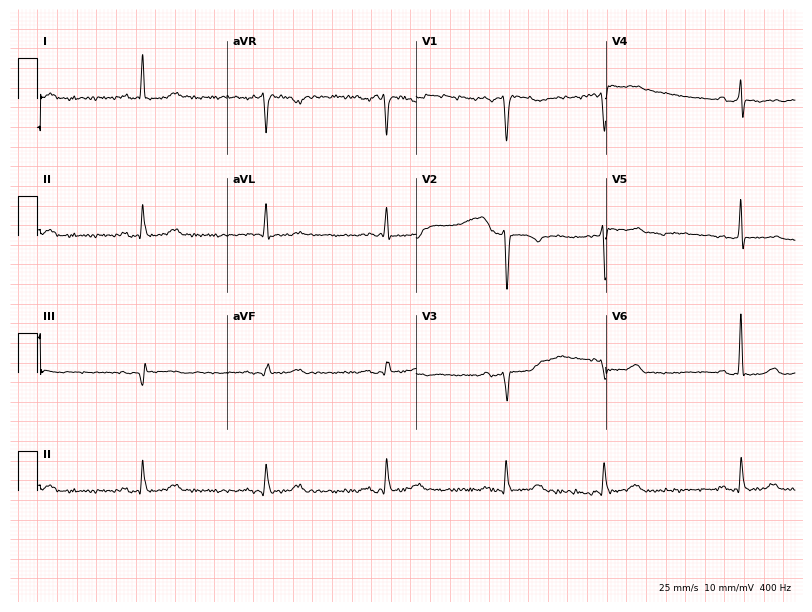
12-lead ECG from a male patient, 69 years old (7.7-second recording at 400 Hz). No first-degree AV block, right bundle branch block, left bundle branch block, sinus bradycardia, atrial fibrillation or sinus tachycardia recorded for this tracing. Only these six findings were labelled.